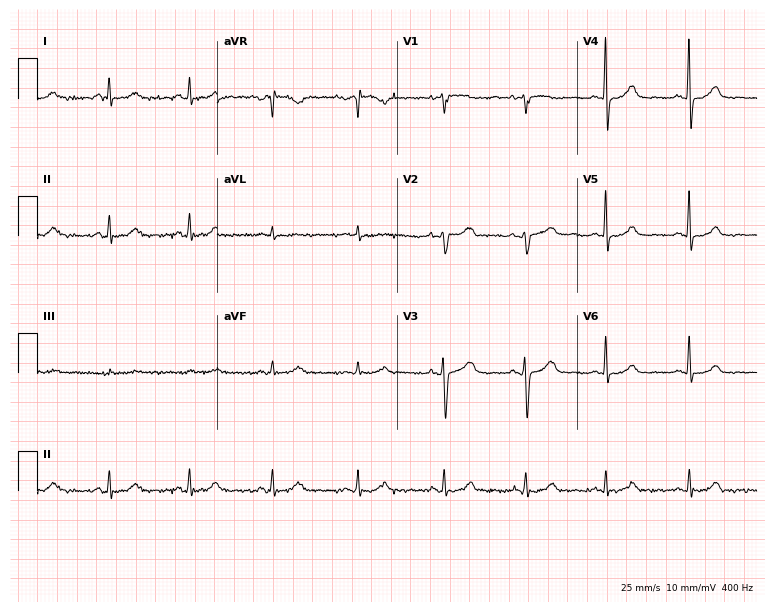
ECG — a 55-year-old female patient. Labelled as a normal ECG.